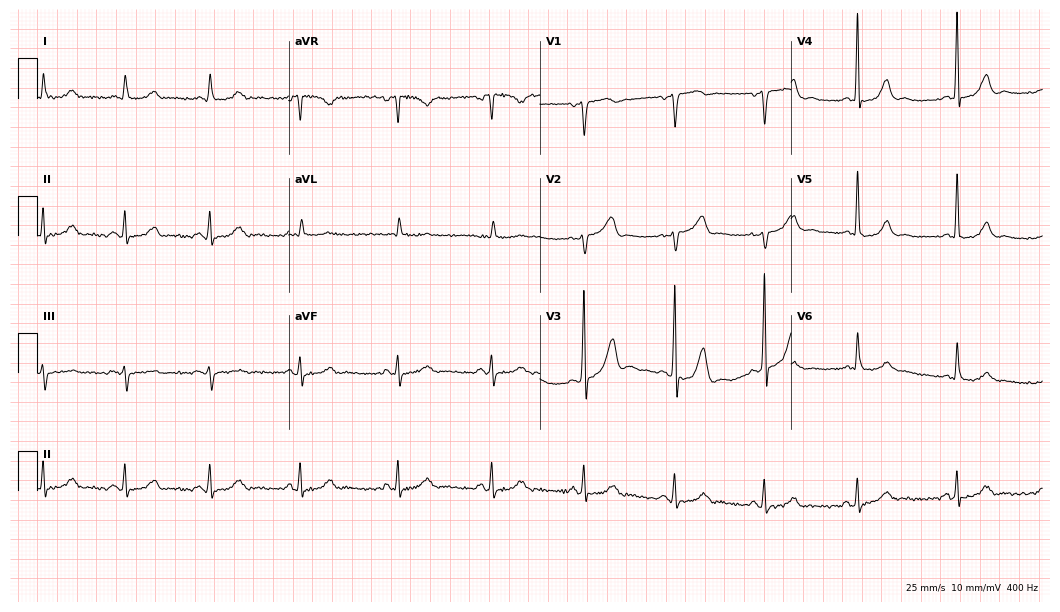
12-lead ECG from a male patient, 61 years old (10.2-second recording at 400 Hz). Recorded interpretation: within normal limits.